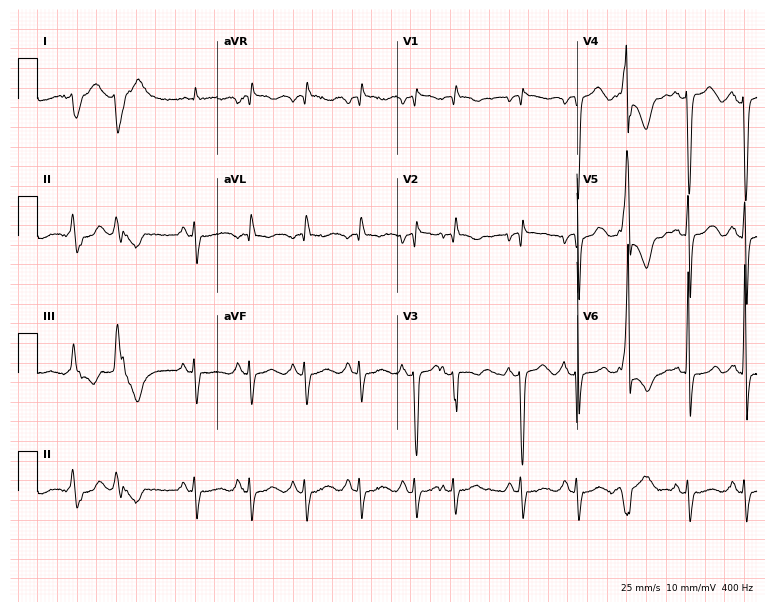
12-lead ECG from an 81-year-old woman (7.3-second recording at 400 Hz). Shows sinus tachycardia (a sinus rate of 100 beats per minute or more).